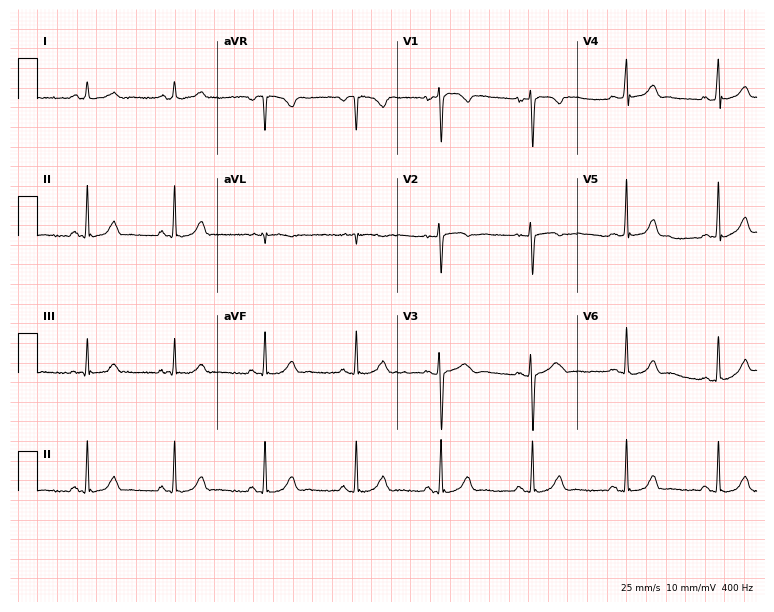
Resting 12-lead electrocardiogram. Patient: a 20-year-old female. Read as a normal ECG.